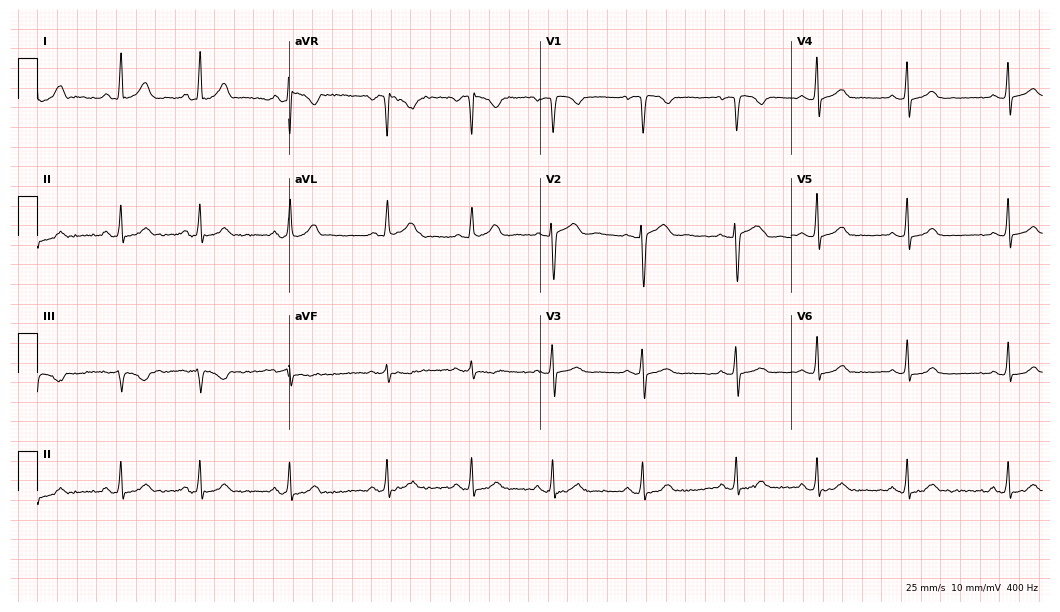
Resting 12-lead electrocardiogram (10.2-second recording at 400 Hz). Patient: a female, 18 years old. Read as a normal ECG.